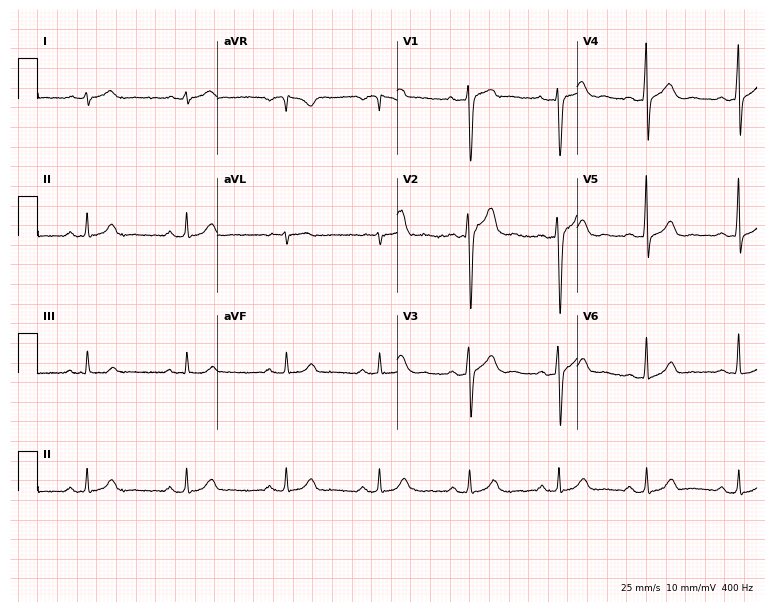
Standard 12-lead ECG recorded from a male patient, 55 years old (7.3-second recording at 400 Hz). Read as a normal ECG.